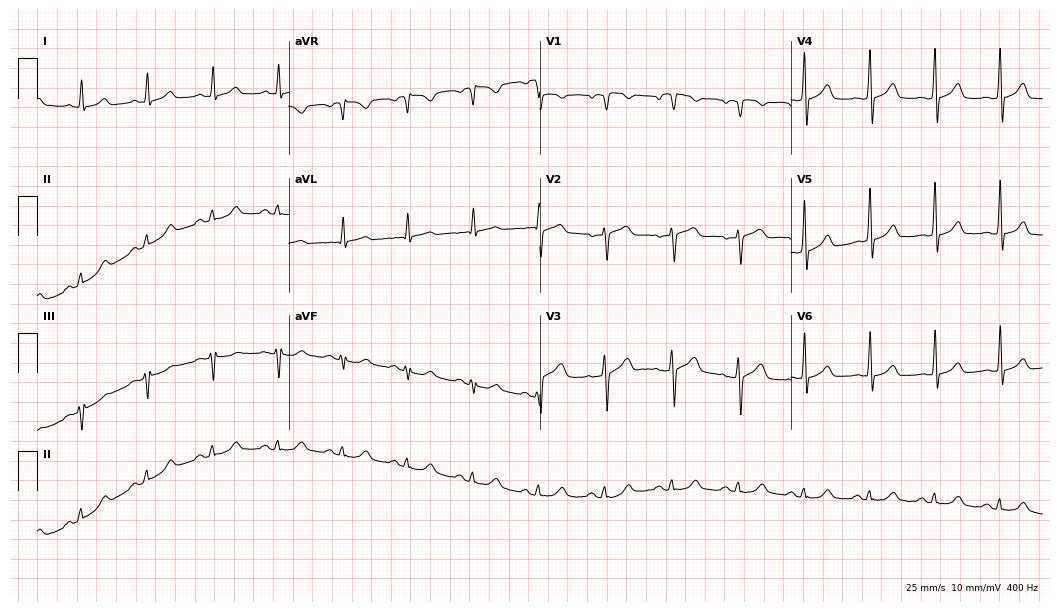
Electrocardiogram, a female, 54 years old. Of the six screened findings (first-degree AV block, right bundle branch block, left bundle branch block, sinus bradycardia, atrial fibrillation, sinus tachycardia), none is recorded. Other findings, if any, are not listed.